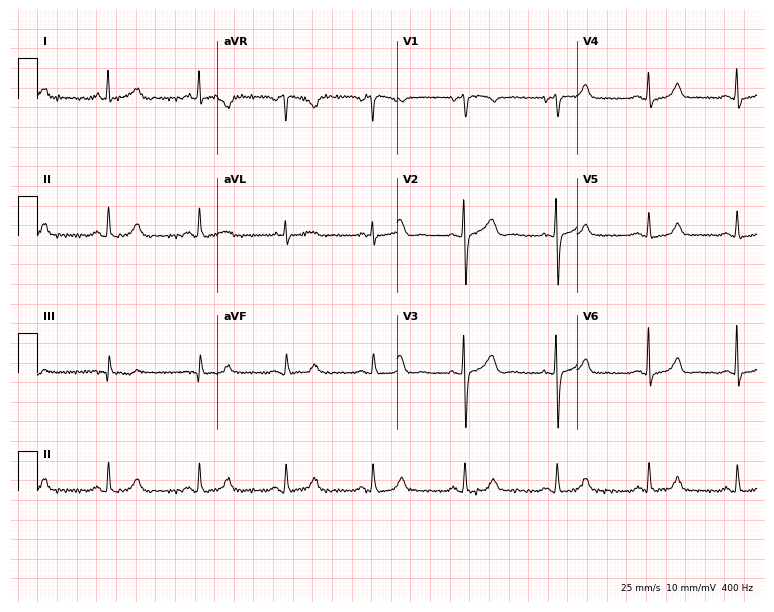
Electrocardiogram (7.3-second recording at 400 Hz), a 63-year-old female. Overall reading on record: normal ECG.